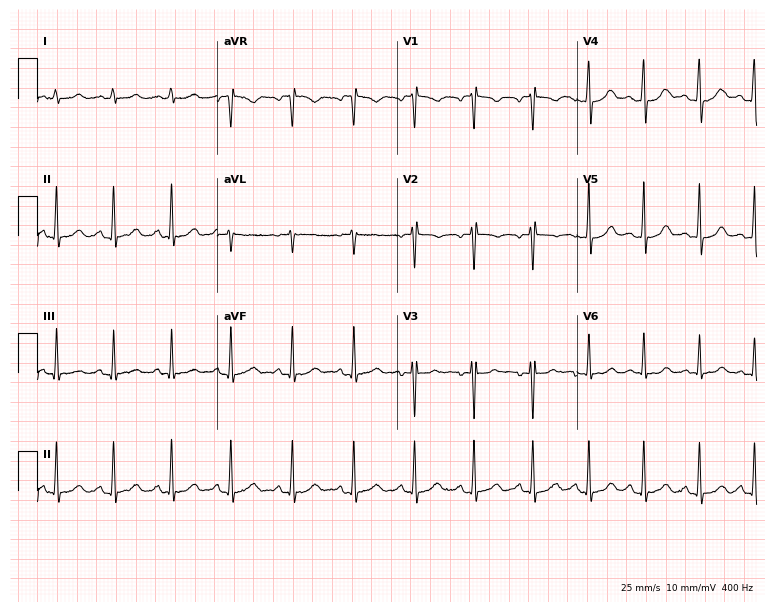
12-lead ECG from a 20-year-old female patient (7.3-second recording at 400 Hz). Shows sinus tachycardia (a sinus rate of 100 beats per minute or more).